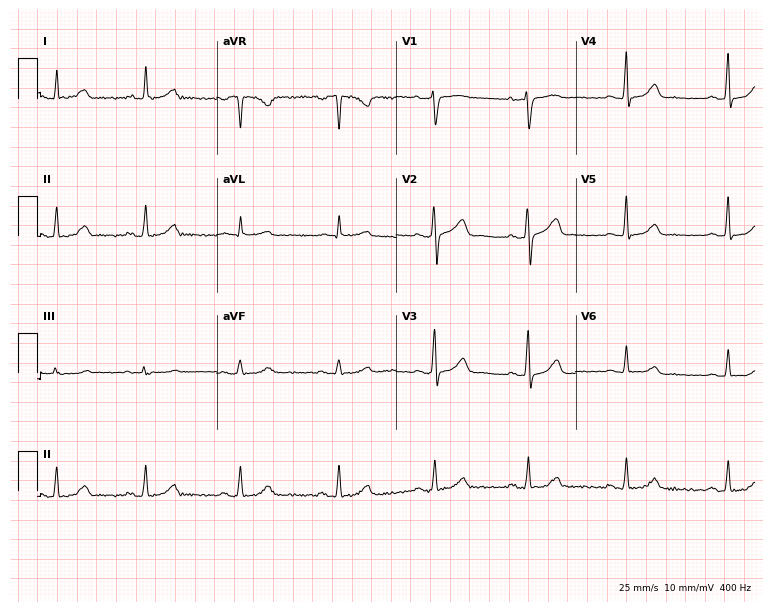
Standard 12-lead ECG recorded from a 49-year-old female patient (7.3-second recording at 400 Hz). Read as a normal ECG.